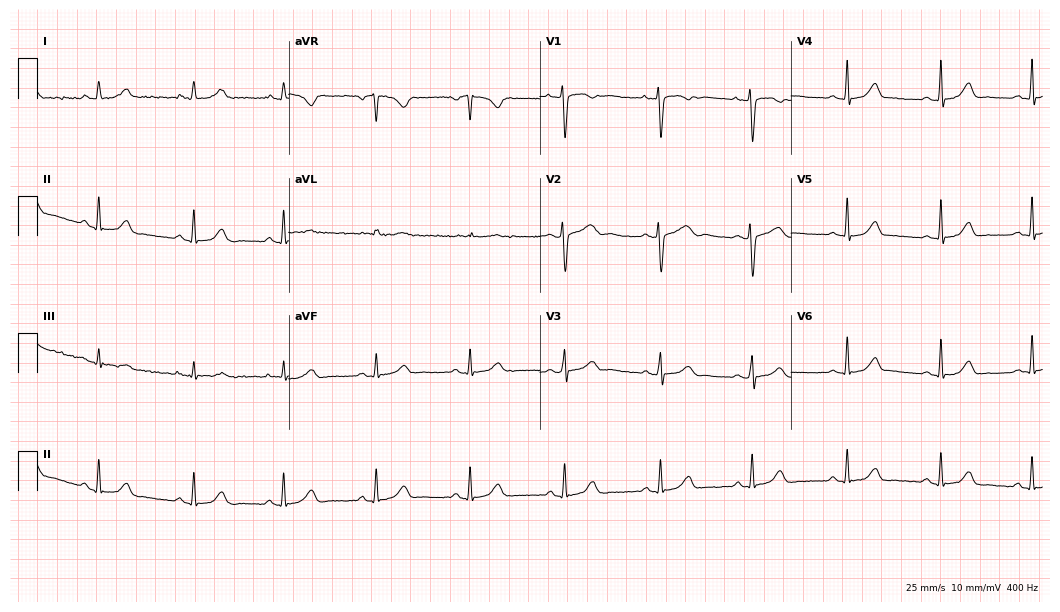
Standard 12-lead ECG recorded from a 31-year-old female (10.2-second recording at 400 Hz). Read as a normal ECG.